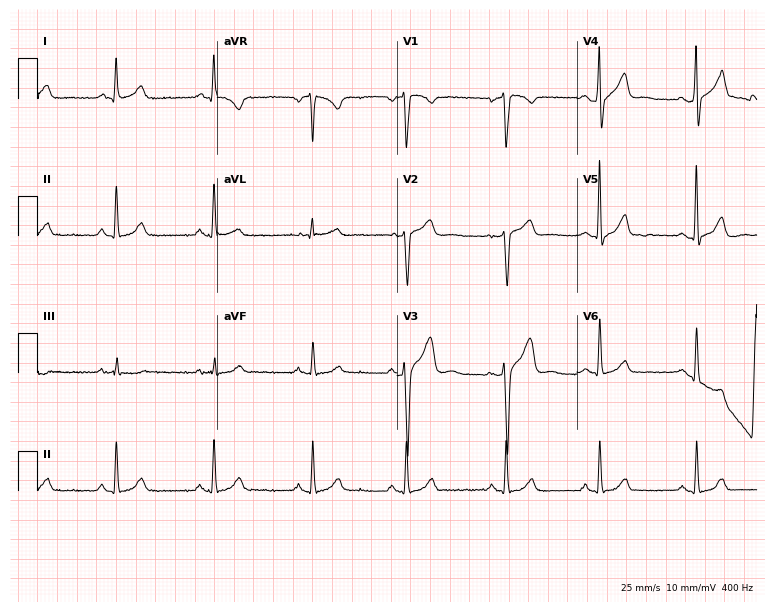
12-lead ECG from a 36-year-old man. Screened for six findings — first-degree AV block, right bundle branch block, left bundle branch block, sinus bradycardia, atrial fibrillation, sinus tachycardia — none is recorded. Only these six findings were labelled.